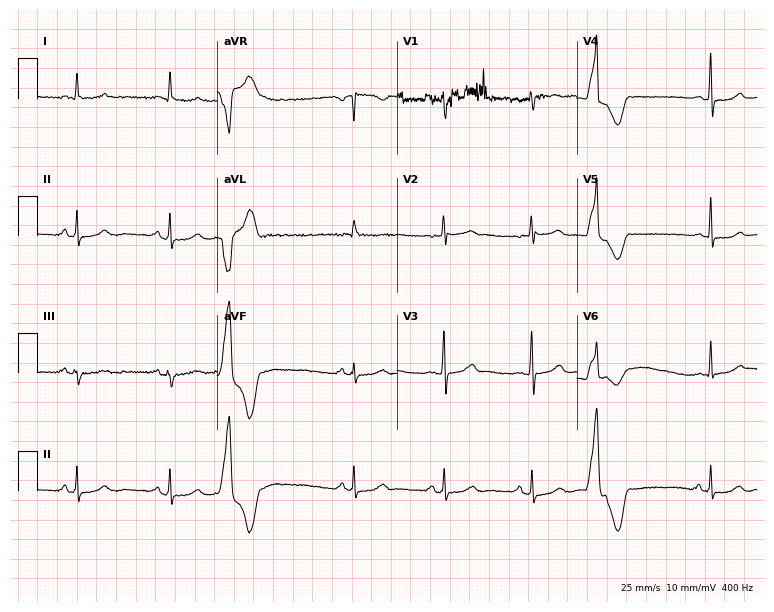
Electrocardiogram (7.3-second recording at 400 Hz), a 33-year-old female patient. Of the six screened findings (first-degree AV block, right bundle branch block (RBBB), left bundle branch block (LBBB), sinus bradycardia, atrial fibrillation (AF), sinus tachycardia), none is recorded.